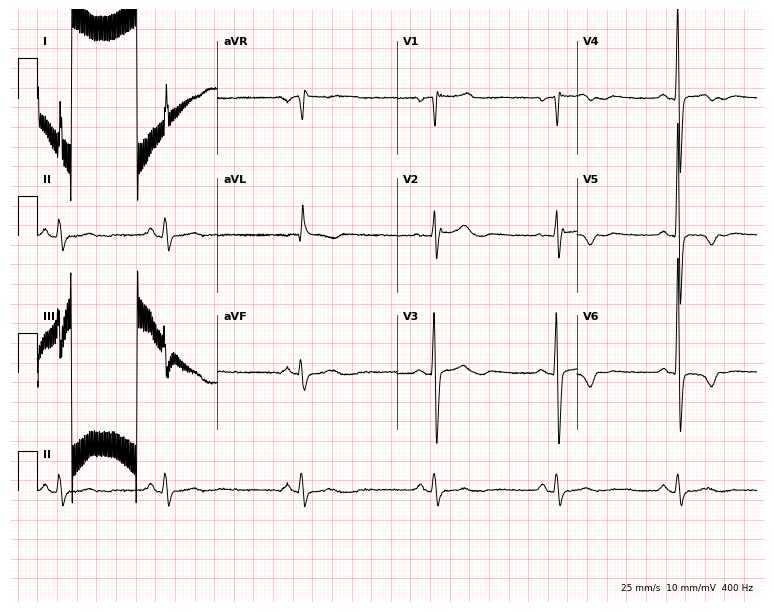
Electrocardiogram (7.3-second recording at 400 Hz), a 76-year-old female patient. Of the six screened findings (first-degree AV block, right bundle branch block, left bundle branch block, sinus bradycardia, atrial fibrillation, sinus tachycardia), none is recorded.